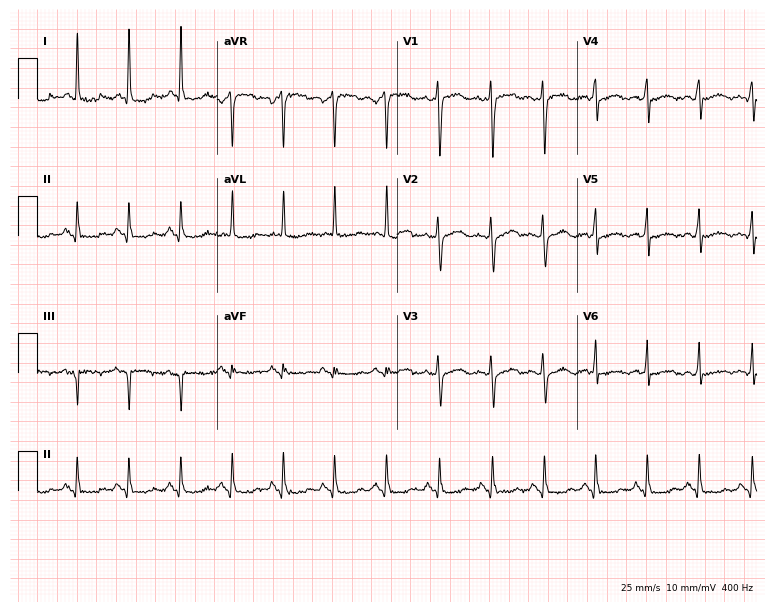
ECG — a 54-year-old woman. Findings include sinus tachycardia (a sinus rate of 100 beats per minute or more).